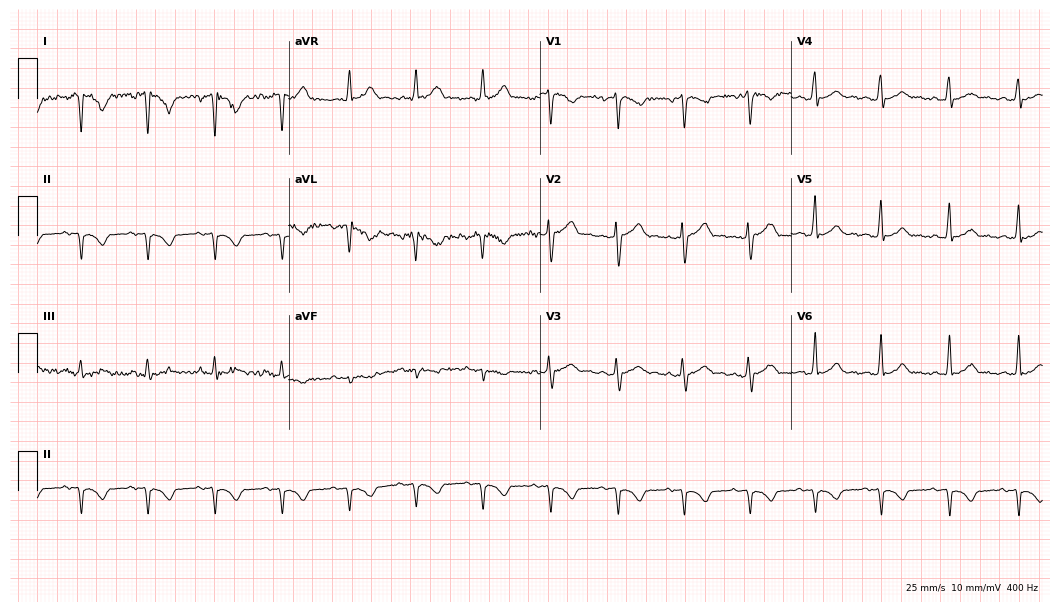
Standard 12-lead ECG recorded from a 35-year-old male (10.2-second recording at 400 Hz). None of these six findings is recorded: first-degree AV block, right bundle branch block, left bundle branch block, sinus bradycardia, atrial fibrillation, sinus tachycardia.